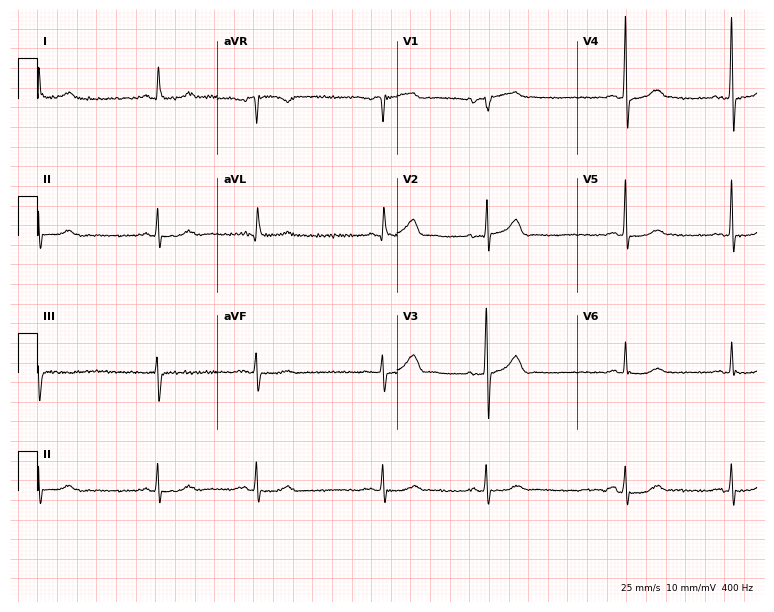
Resting 12-lead electrocardiogram. Patient: a male, 69 years old. Read as a normal ECG.